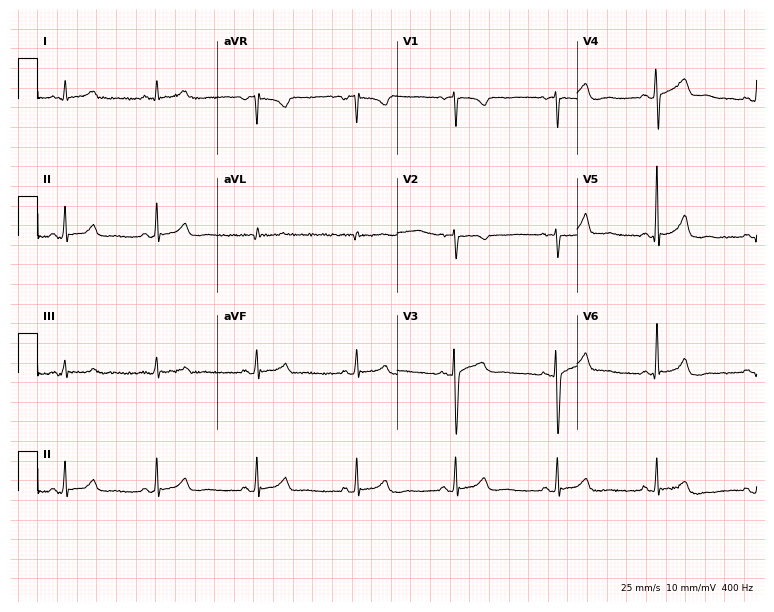
Standard 12-lead ECG recorded from a female, 60 years old. Read as a normal ECG.